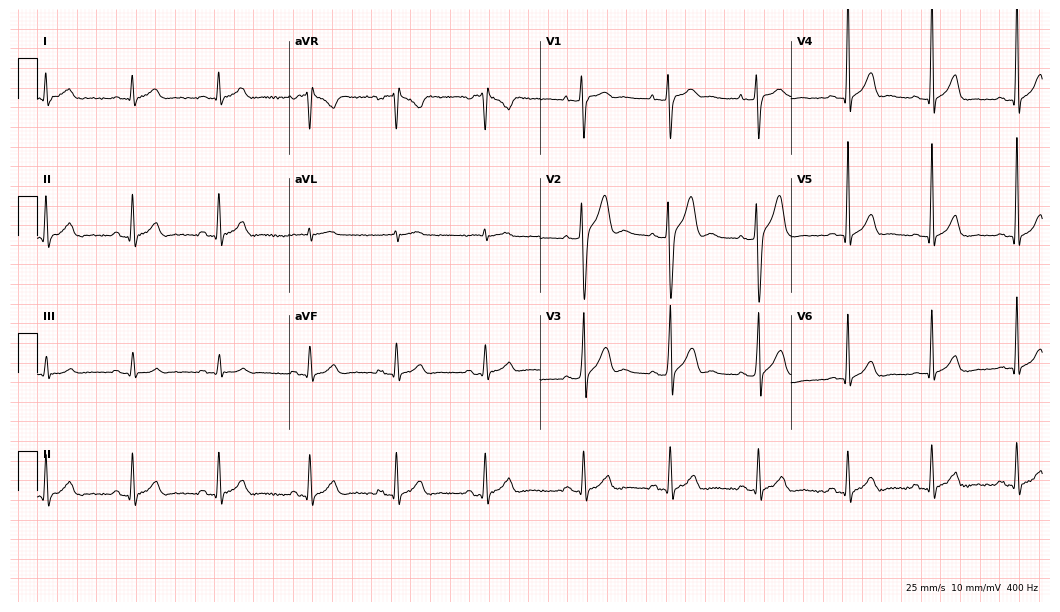
12-lead ECG (10.2-second recording at 400 Hz) from a male, 26 years old. Screened for six findings — first-degree AV block, right bundle branch block, left bundle branch block, sinus bradycardia, atrial fibrillation, sinus tachycardia — none is recorded. Only these six findings were labelled.